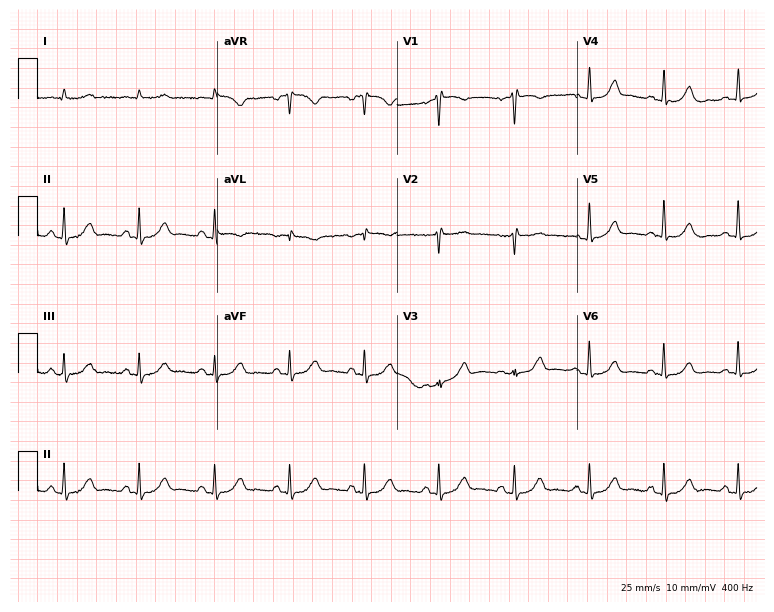
Resting 12-lead electrocardiogram (7.3-second recording at 400 Hz). Patient: a man, 74 years old. Read as a normal ECG.